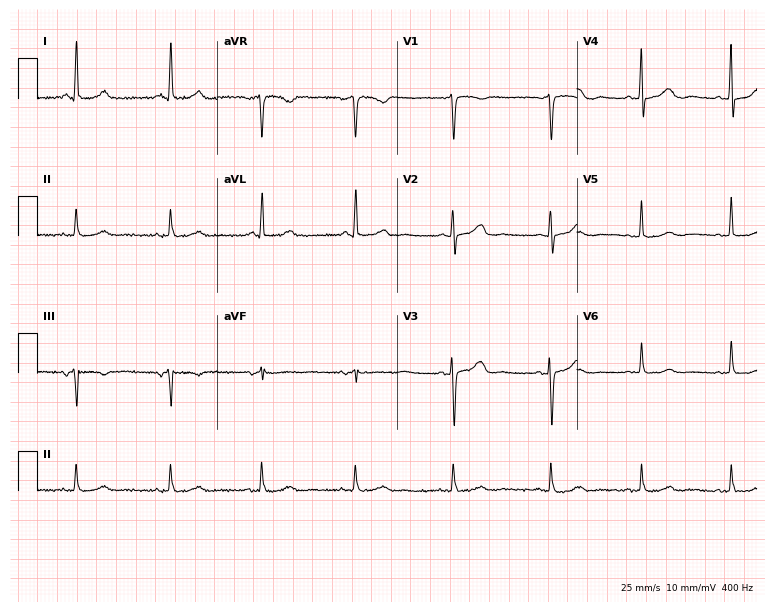
12-lead ECG (7.3-second recording at 400 Hz) from a 63-year-old female. Screened for six findings — first-degree AV block, right bundle branch block, left bundle branch block, sinus bradycardia, atrial fibrillation, sinus tachycardia — none is recorded.